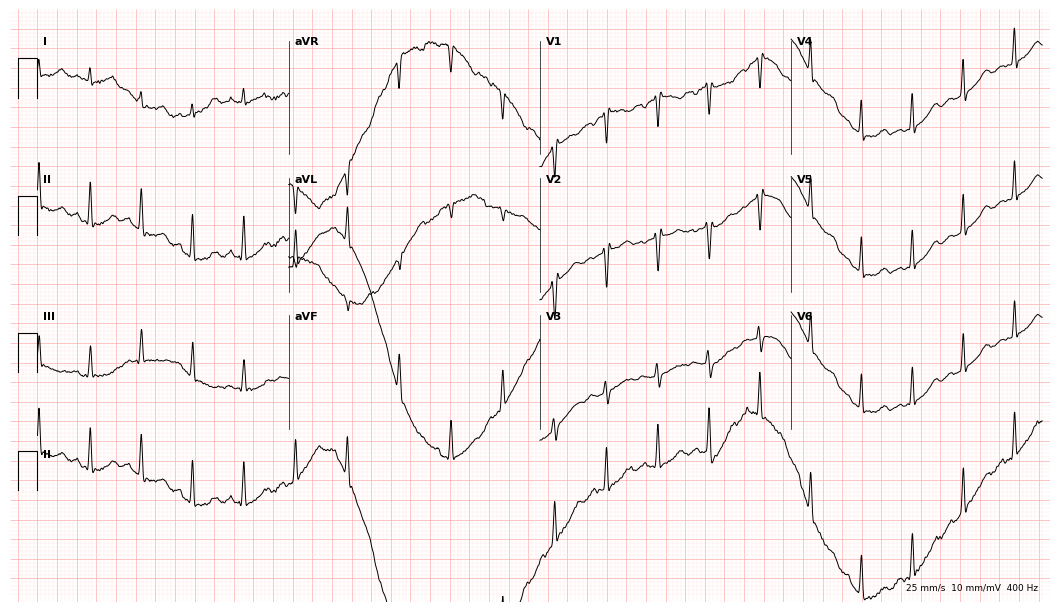
12-lead ECG from a female, 36 years old. Shows sinus tachycardia (a sinus rate of 100 beats per minute or more).